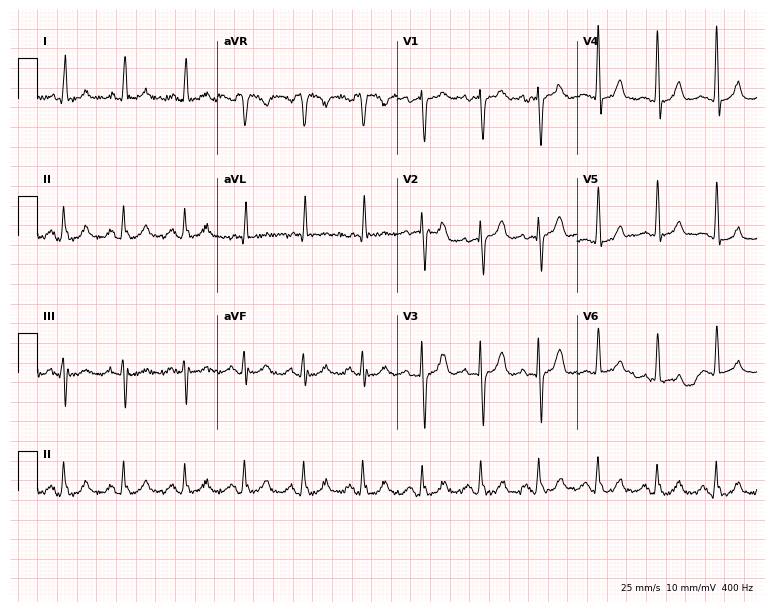
ECG — a woman, 63 years old. Screened for six findings — first-degree AV block, right bundle branch block (RBBB), left bundle branch block (LBBB), sinus bradycardia, atrial fibrillation (AF), sinus tachycardia — none is recorded. Only these six findings were labelled.